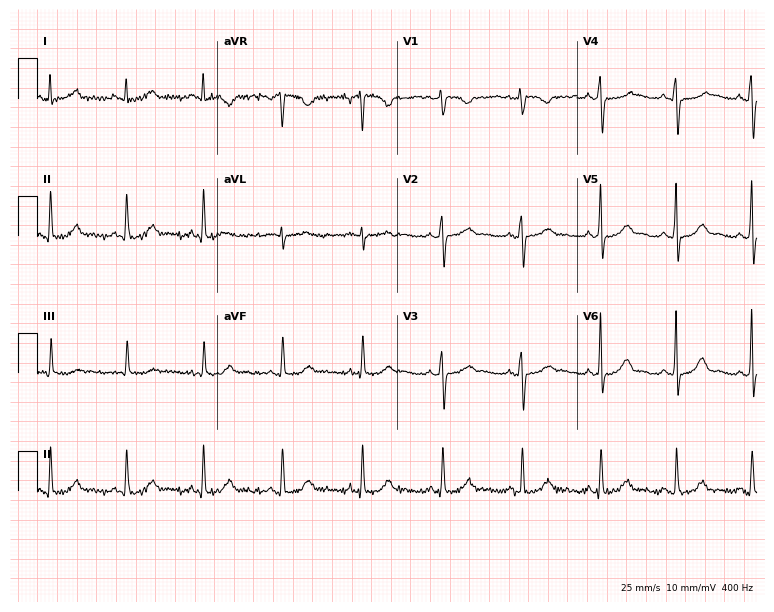
12-lead ECG from a female, 32 years old. Labelled as a normal ECG.